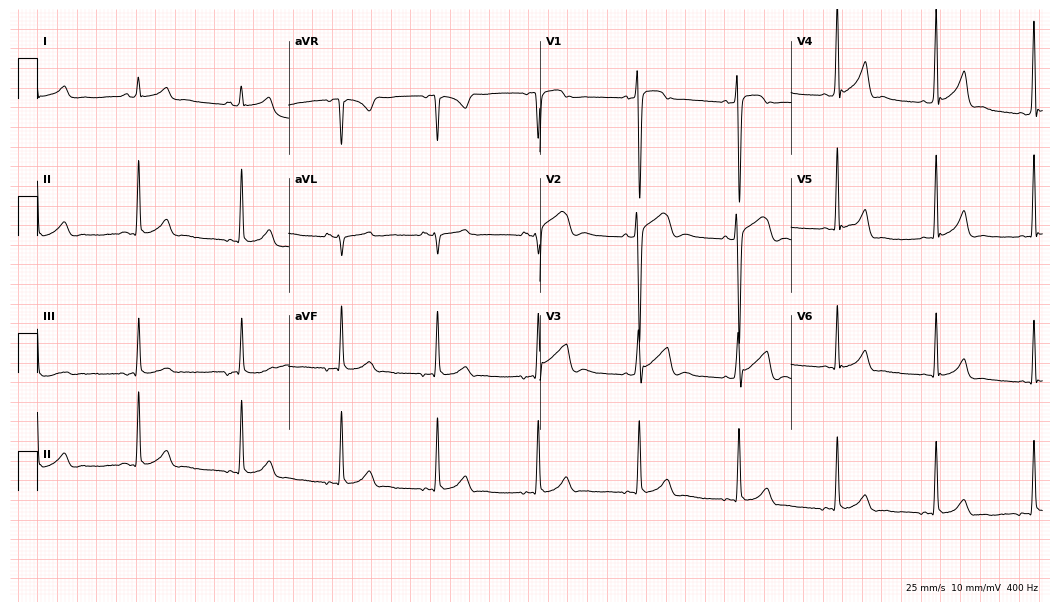
ECG — a male, 18 years old. Screened for six findings — first-degree AV block, right bundle branch block, left bundle branch block, sinus bradycardia, atrial fibrillation, sinus tachycardia — none is recorded. Findings outside these six are not listed.